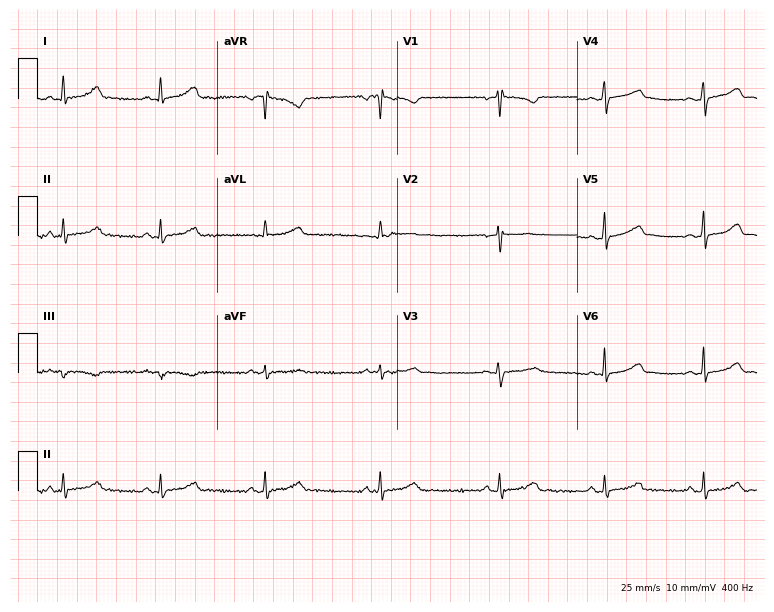
ECG — a female, 26 years old. Labelled as a normal ECG.